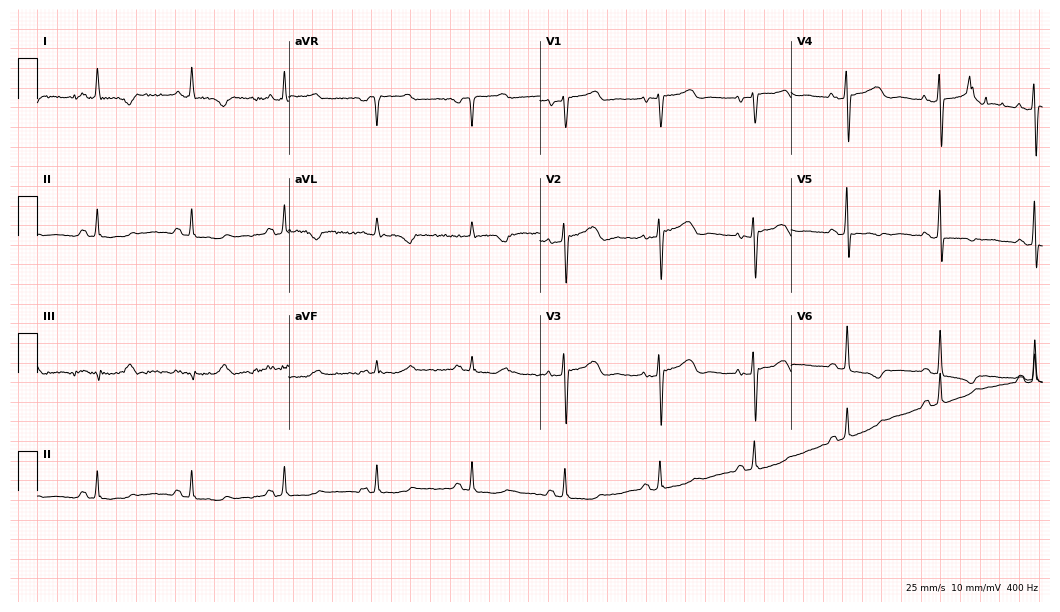
Resting 12-lead electrocardiogram. Patient: a 56-year-old female. None of these six findings is recorded: first-degree AV block, right bundle branch block, left bundle branch block, sinus bradycardia, atrial fibrillation, sinus tachycardia.